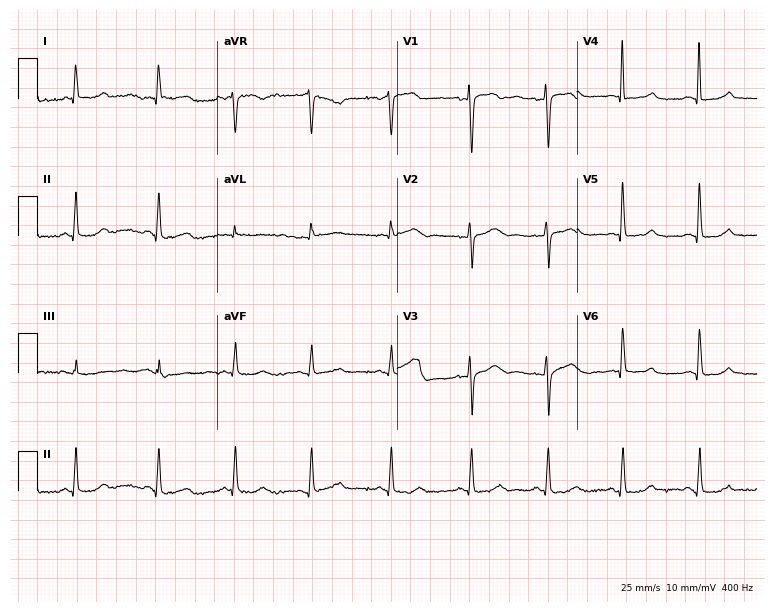
Standard 12-lead ECG recorded from a 48-year-old woman (7.3-second recording at 400 Hz). None of these six findings is recorded: first-degree AV block, right bundle branch block (RBBB), left bundle branch block (LBBB), sinus bradycardia, atrial fibrillation (AF), sinus tachycardia.